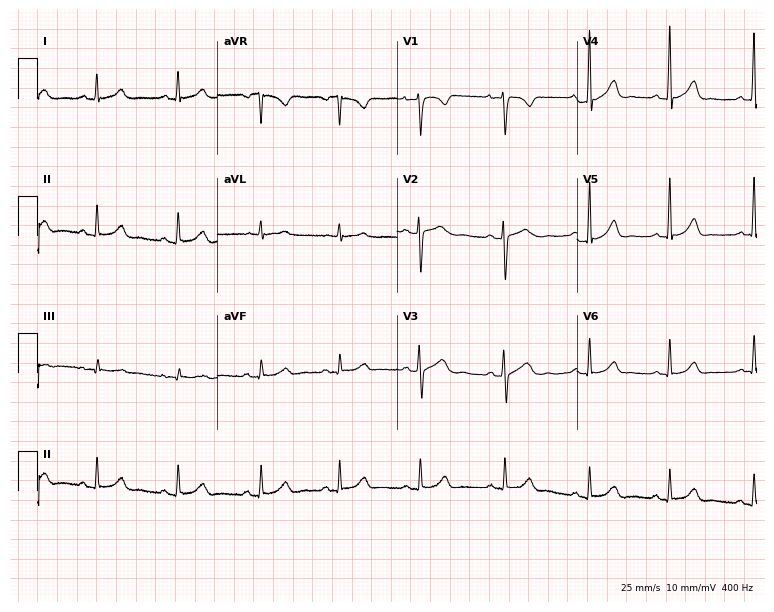
Electrocardiogram, a female patient, 28 years old. Overall reading on record: normal ECG.